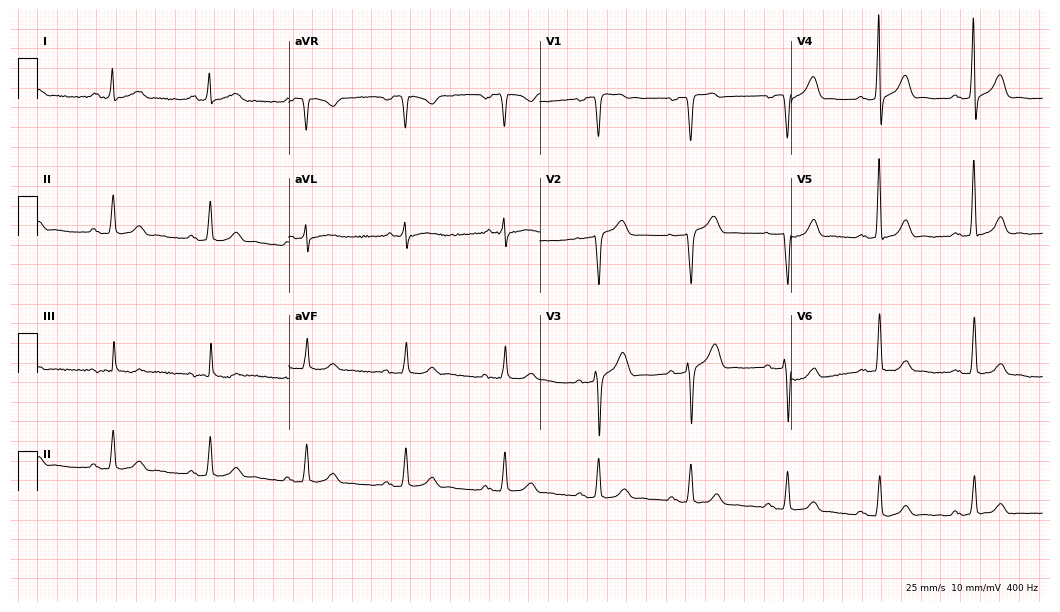
12-lead ECG from a man, 62 years old (10.2-second recording at 400 Hz). No first-degree AV block, right bundle branch block, left bundle branch block, sinus bradycardia, atrial fibrillation or sinus tachycardia recorded for this tracing. Only these six findings were labelled.